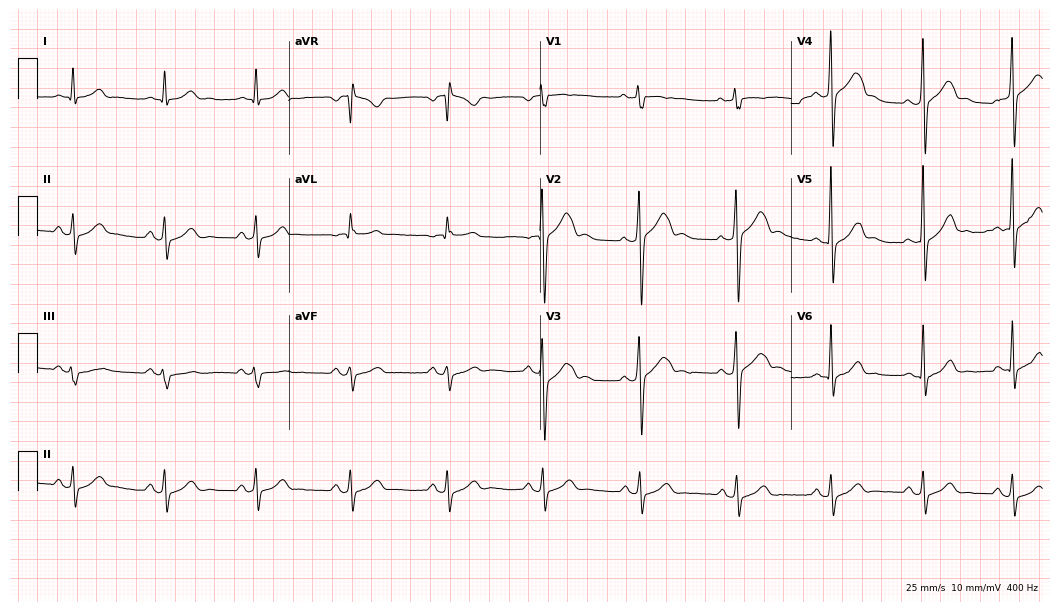
Standard 12-lead ECG recorded from a 49-year-old female (10.2-second recording at 400 Hz). Read as a normal ECG.